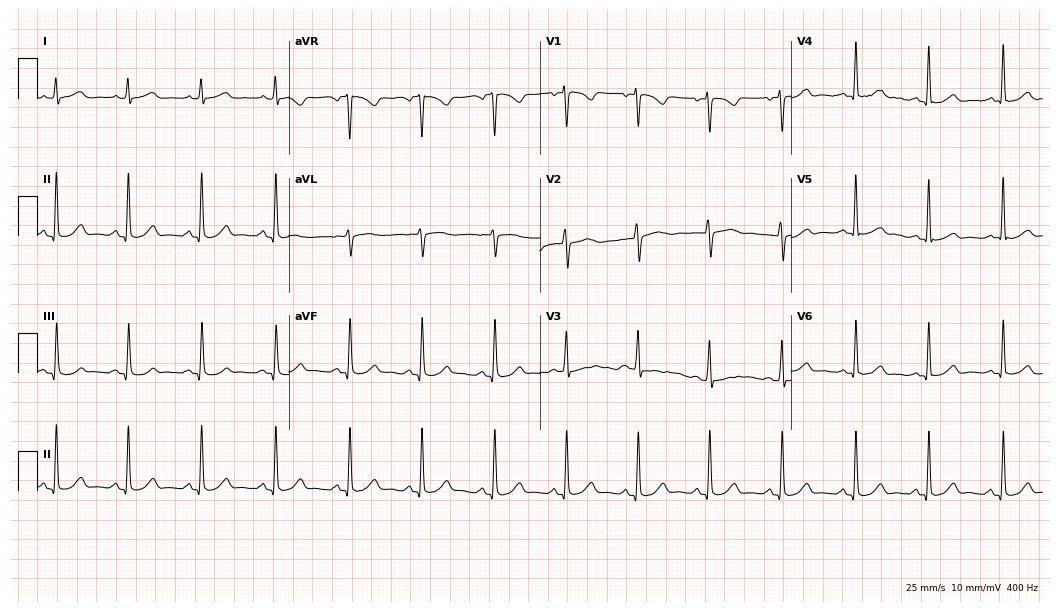
12-lead ECG from a 42-year-old female patient. Recorded interpretation: within normal limits.